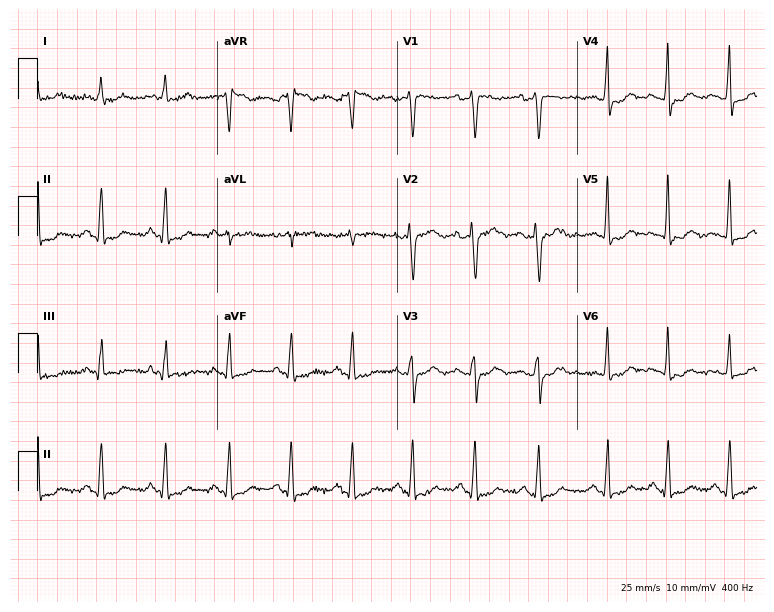
Standard 12-lead ECG recorded from a 46-year-old female patient (7.3-second recording at 400 Hz). None of these six findings is recorded: first-degree AV block, right bundle branch block, left bundle branch block, sinus bradycardia, atrial fibrillation, sinus tachycardia. Other findings, if any, are not listed.